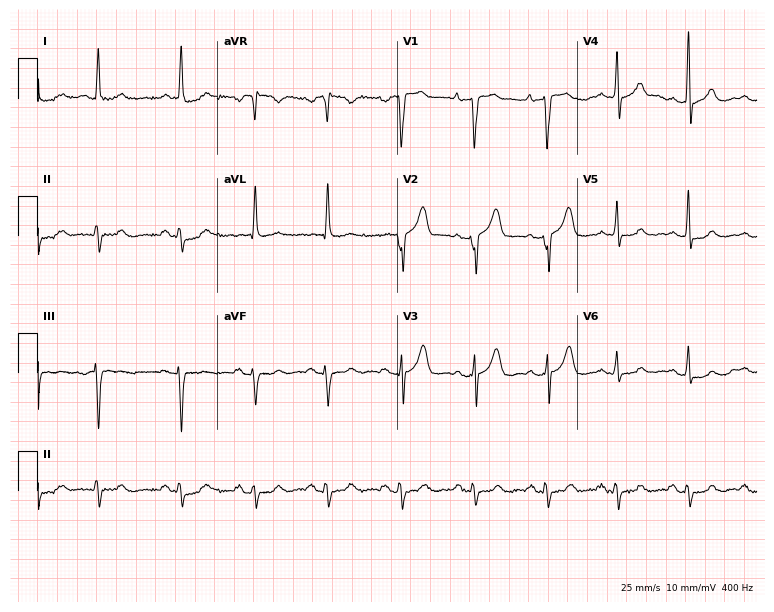
12-lead ECG (7.3-second recording at 400 Hz) from an 84-year-old male. Screened for six findings — first-degree AV block, right bundle branch block (RBBB), left bundle branch block (LBBB), sinus bradycardia, atrial fibrillation (AF), sinus tachycardia — none is recorded. Only these six findings were labelled.